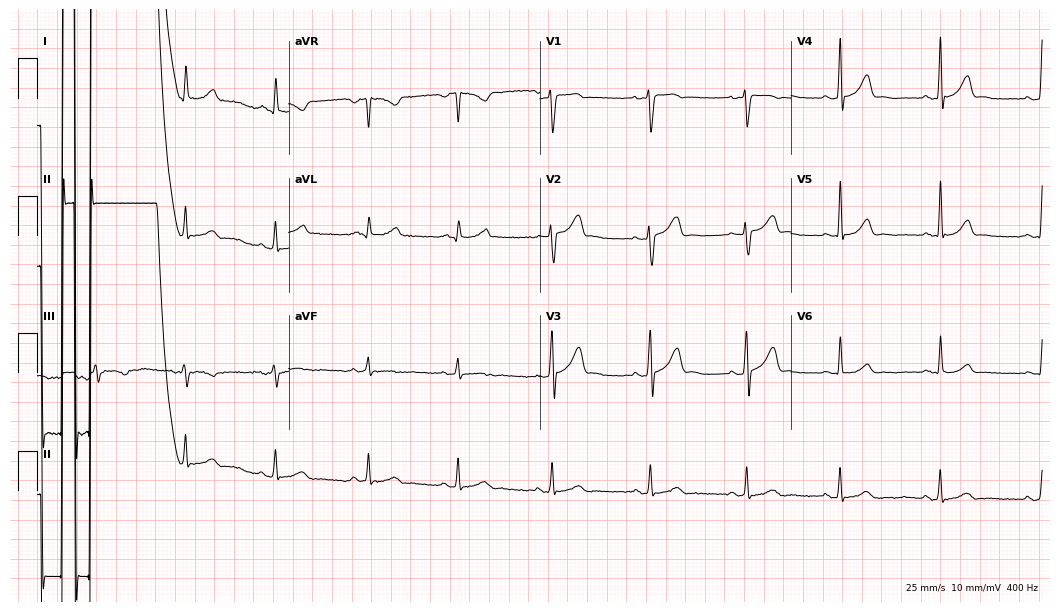
12-lead ECG from a 27-year-old male (10.2-second recording at 400 Hz). No first-degree AV block, right bundle branch block, left bundle branch block, sinus bradycardia, atrial fibrillation or sinus tachycardia recorded for this tracing. Only these six findings were labelled.